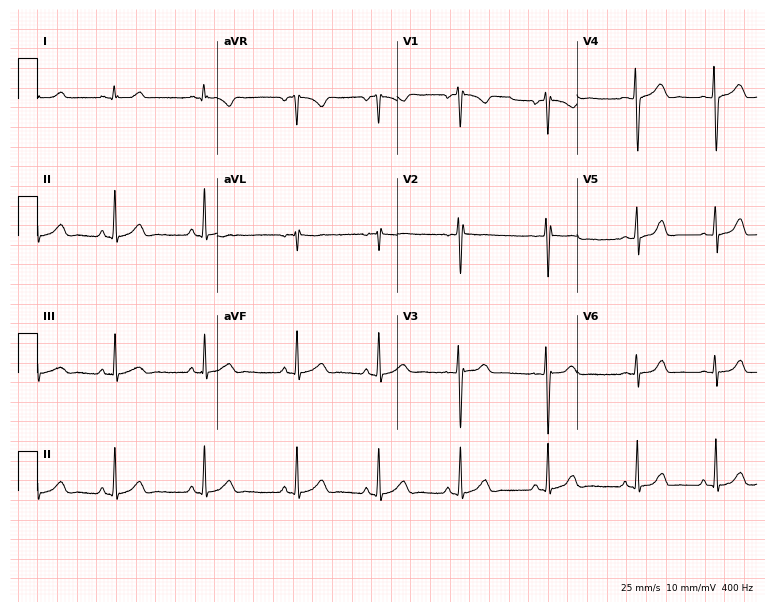
ECG — a 20-year-old female. Labelled as a normal ECG.